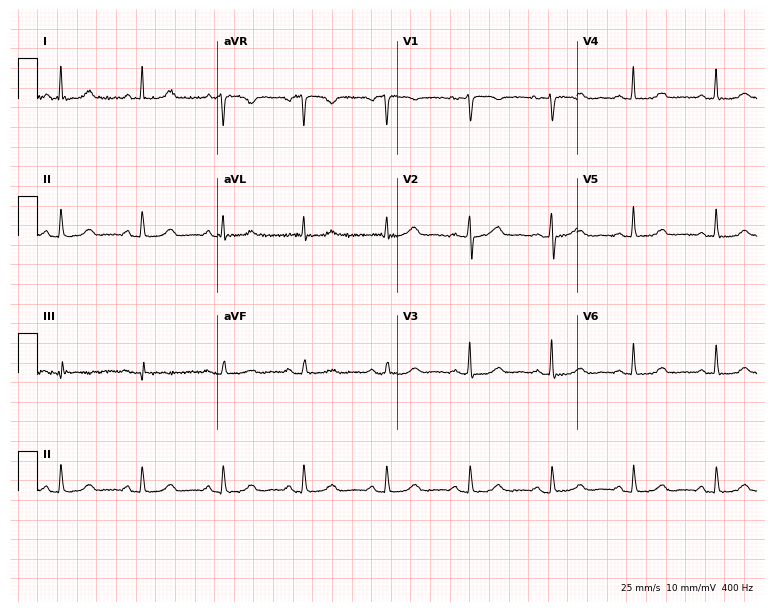
Electrocardiogram (7.3-second recording at 400 Hz), a 47-year-old female. Of the six screened findings (first-degree AV block, right bundle branch block, left bundle branch block, sinus bradycardia, atrial fibrillation, sinus tachycardia), none is recorded. Other findings, if any, are not listed.